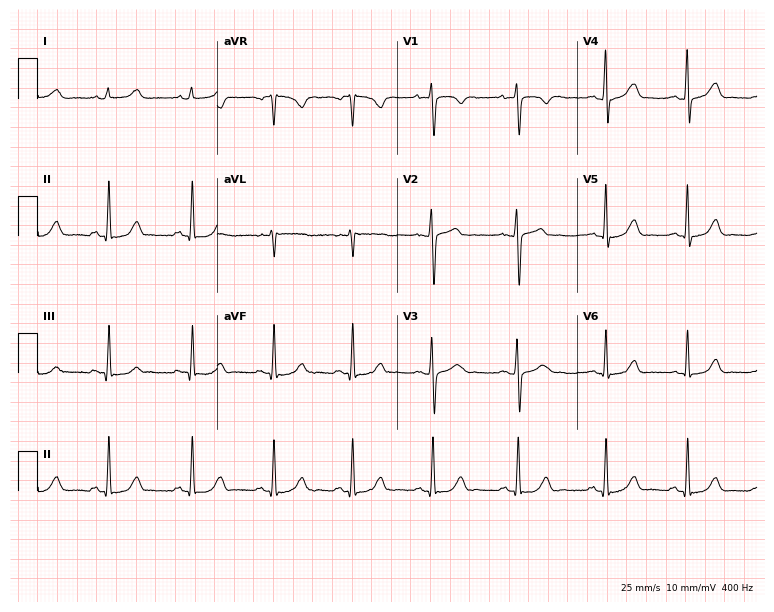
Electrocardiogram (7.3-second recording at 400 Hz), a female patient, 30 years old. Overall reading on record: normal ECG.